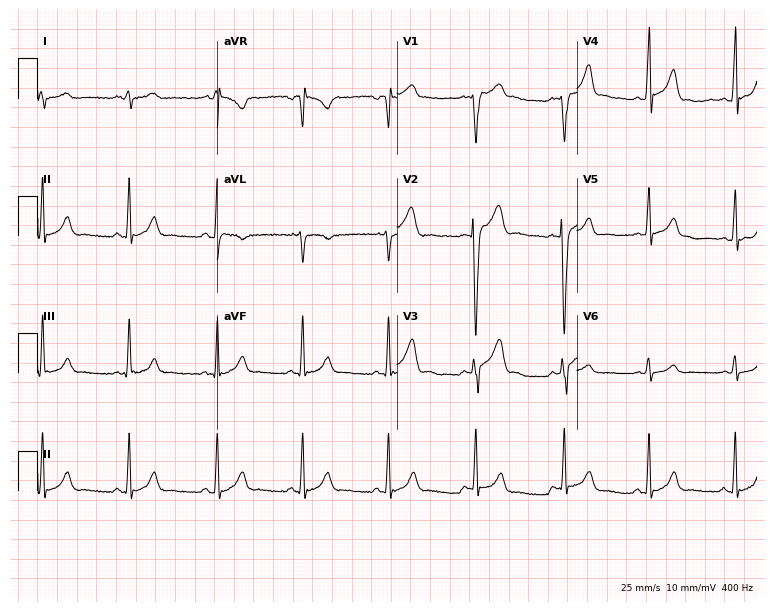
ECG (7.3-second recording at 400 Hz) — a 22-year-old male patient. Labelled as a normal ECG.